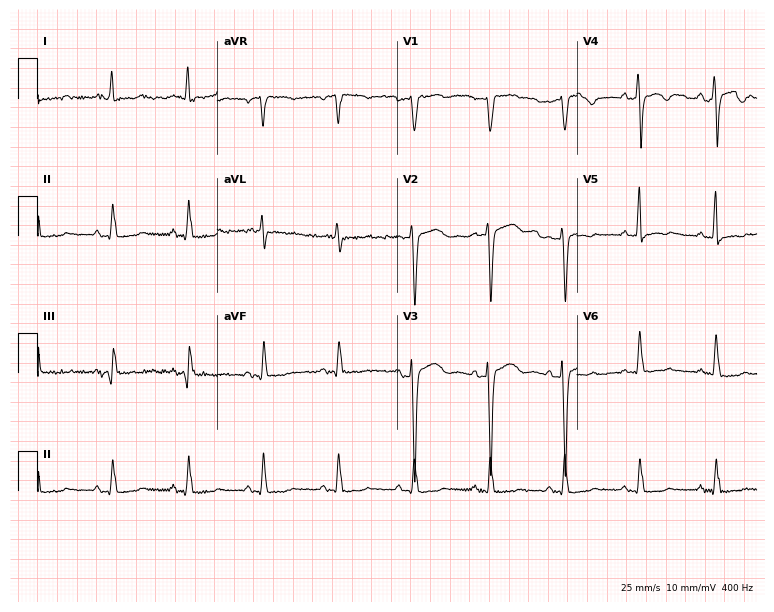
Standard 12-lead ECG recorded from a female, 83 years old. None of these six findings is recorded: first-degree AV block, right bundle branch block, left bundle branch block, sinus bradycardia, atrial fibrillation, sinus tachycardia. Other findings, if any, are not listed.